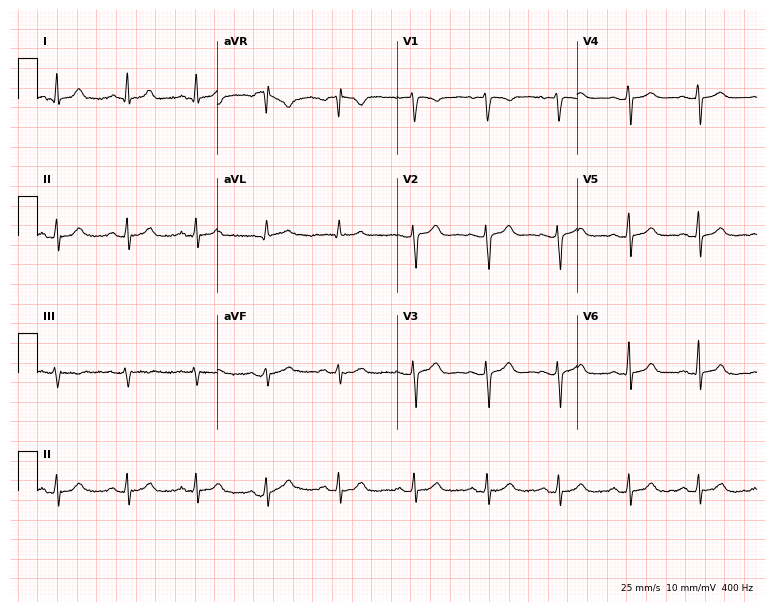
Resting 12-lead electrocardiogram (7.3-second recording at 400 Hz). Patient: a 44-year-old female. Read as a normal ECG.